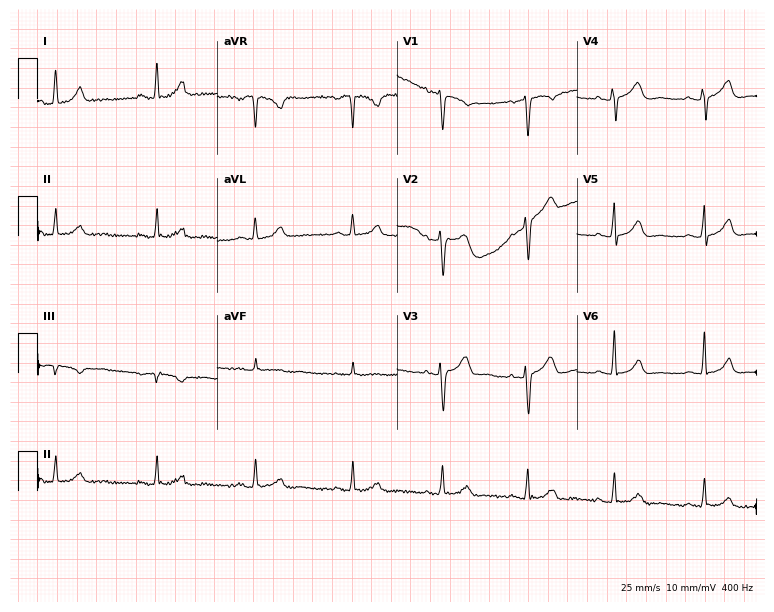
Resting 12-lead electrocardiogram. Patient: a 37-year-old female. None of these six findings is recorded: first-degree AV block, right bundle branch block (RBBB), left bundle branch block (LBBB), sinus bradycardia, atrial fibrillation (AF), sinus tachycardia.